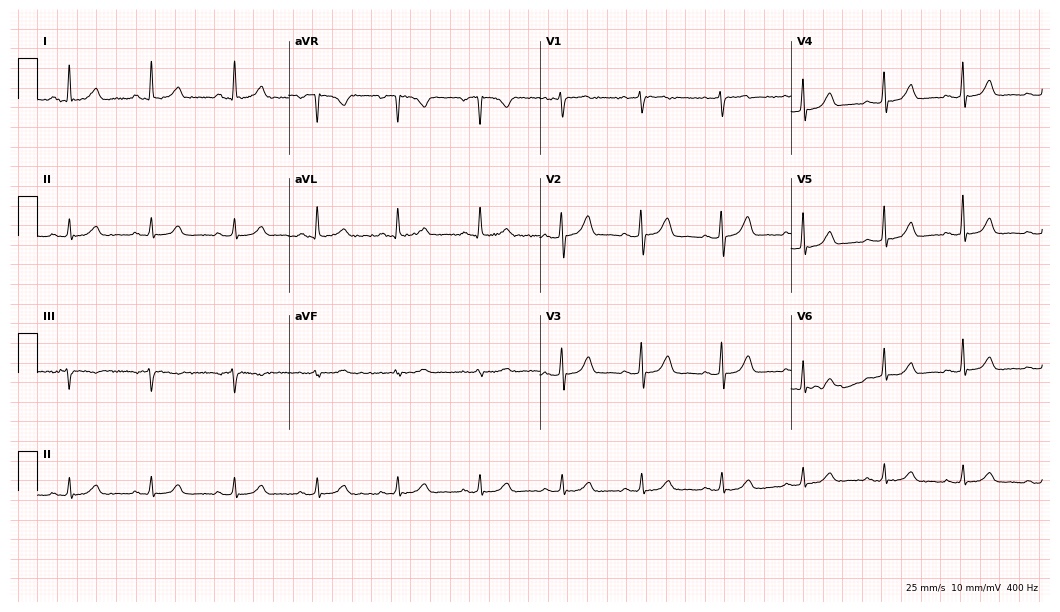
12-lead ECG from a 64-year-old female. Recorded interpretation: within normal limits.